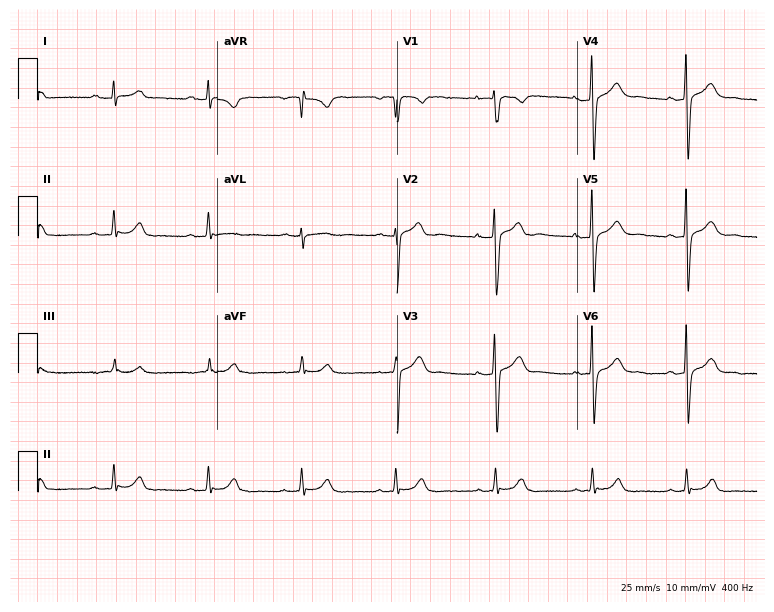
Electrocardiogram, a male patient, 23 years old. Overall reading on record: normal ECG.